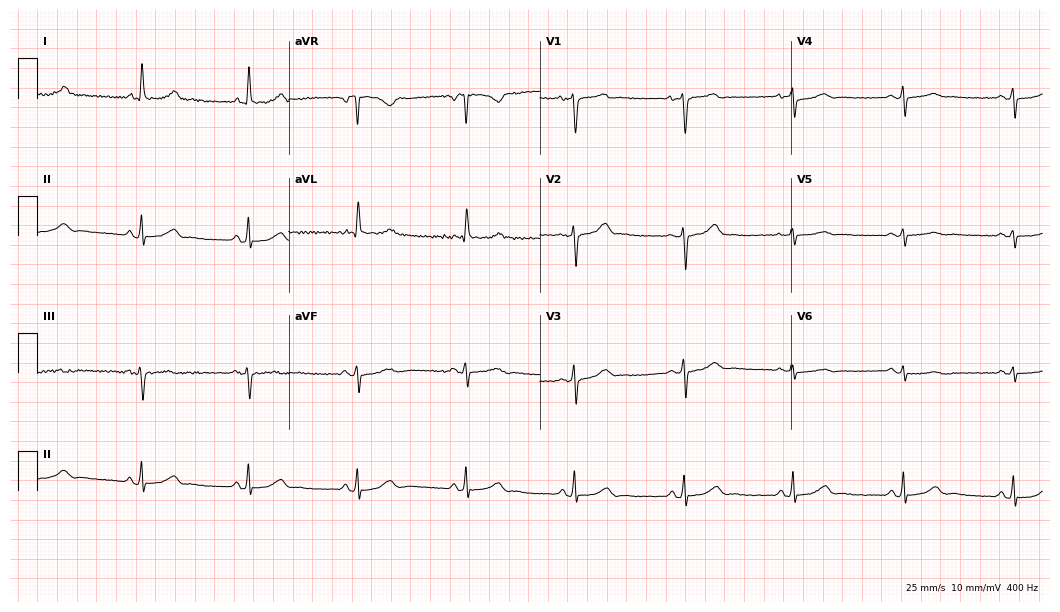
ECG — a woman, 55 years old. Screened for six findings — first-degree AV block, right bundle branch block, left bundle branch block, sinus bradycardia, atrial fibrillation, sinus tachycardia — none is recorded.